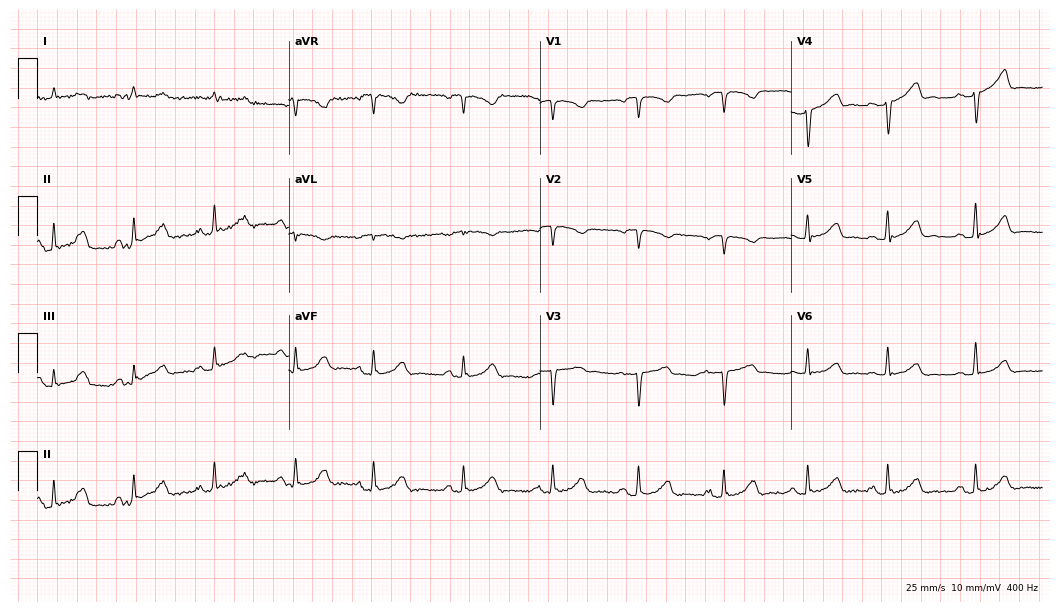
Resting 12-lead electrocardiogram (10.2-second recording at 400 Hz). Patient: a 76-year-old man. None of these six findings is recorded: first-degree AV block, right bundle branch block, left bundle branch block, sinus bradycardia, atrial fibrillation, sinus tachycardia. Other findings, if any, are not listed.